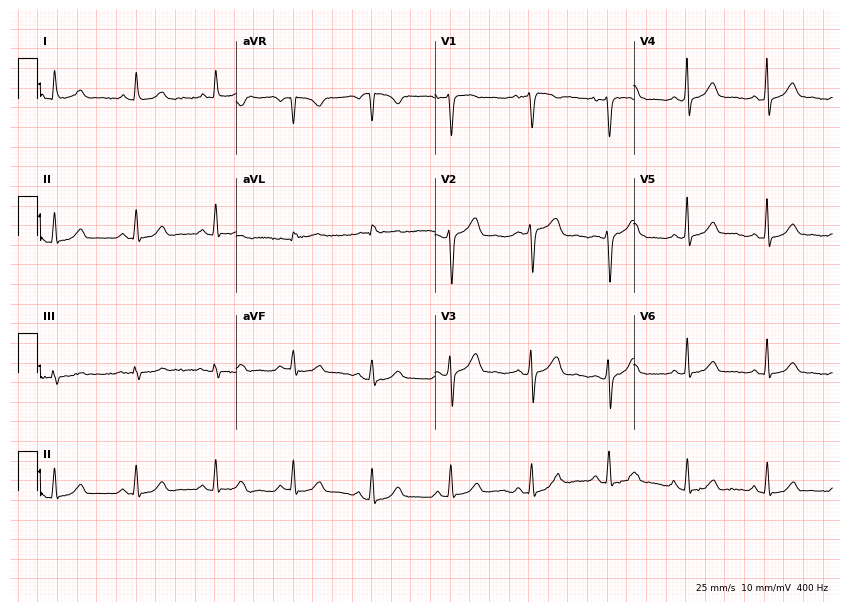
Standard 12-lead ECG recorded from a 51-year-old female patient. None of these six findings is recorded: first-degree AV block, right bundle branch block (RBBB), left bundle branch block (LBBB), sinus bradycardia, atrial fibrillation (AF), sinus tachycardia.